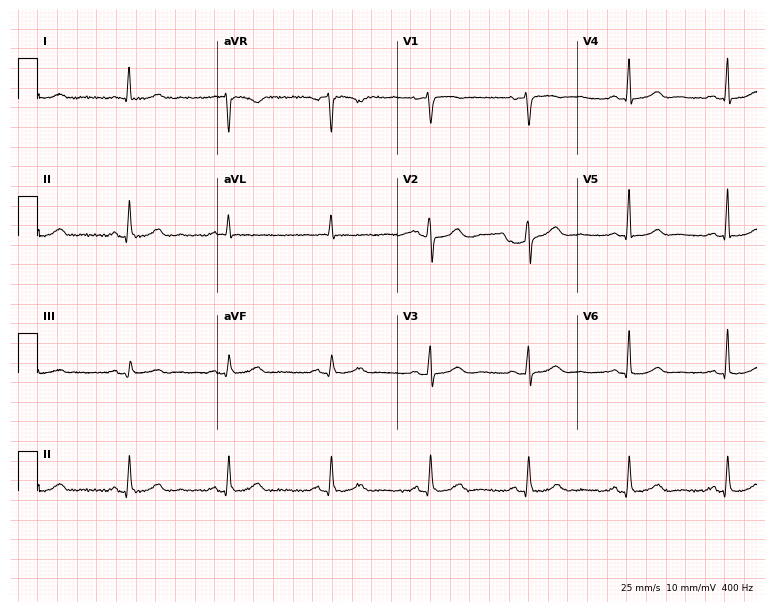
Standard 12-lead ECG recorded from a 54-year-old female patient (7.3-second recording at 400 Hz). Read as a normal ECG.